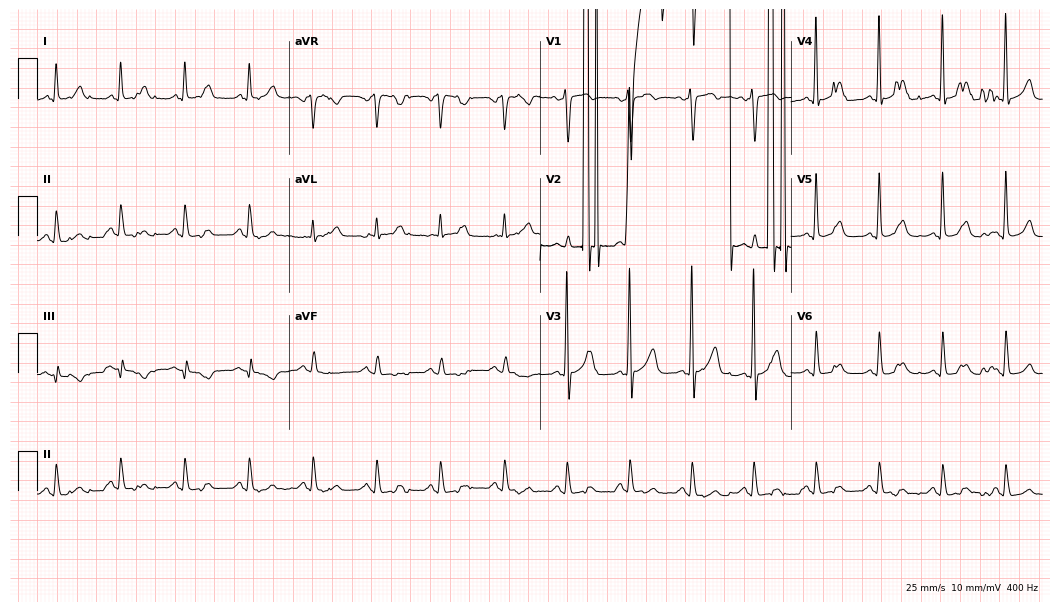
12-lead ECG (10.2-second recording at 400 Hz) from a 60-year-old male. Screened for six findings — first-degree AV block, right bundle branch block (RBBB), left bundle branch block (LBBB), sinus bradycardia, atrial fibrillation (AF), sinus tachycardia — none is recorded.